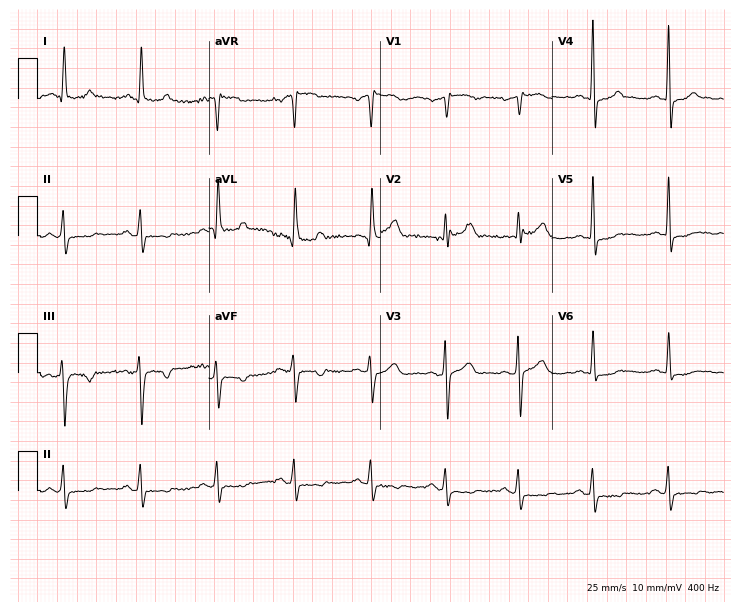
Standard 12-lead ECG recorded from a female, 56 years old. None of these six findings is recorded: first-degree AV block, right bundle branch block (RBBB), left bundle branch block (LBBB), sinus bradycardia, atrial fibrillation (AF), sinus tachycardia. Only these six findings were labelled.